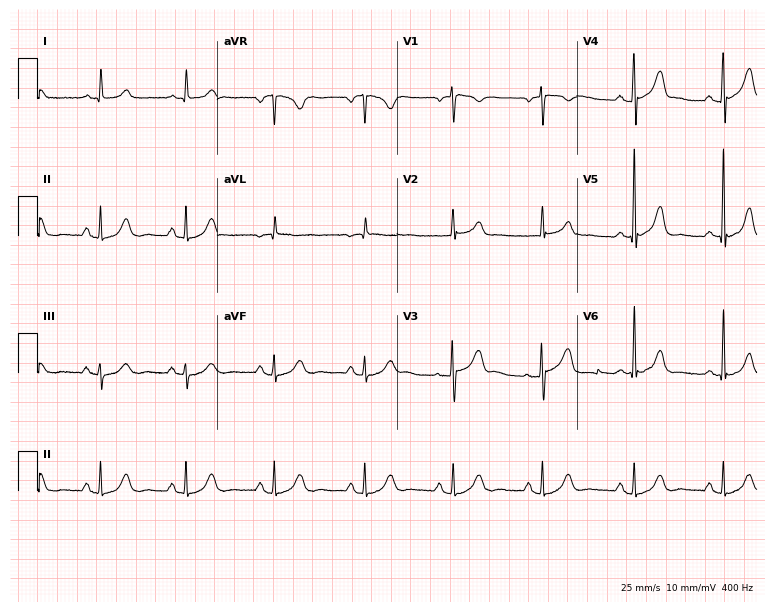
12-lead ECG from a woman, 71 years old (7.3-second recording at 400 Hz). Recorded interpretation: within normal limits.